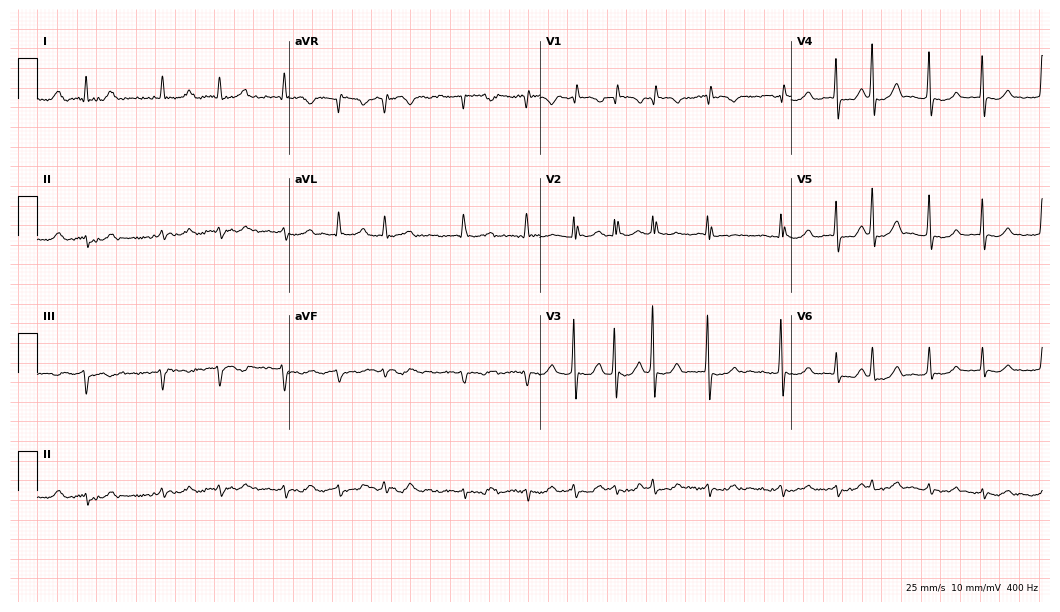
Electrocardiogram (10.2-second recording at 400 Hz), a 73-year-old woman. Of the six screened findings (first-degree AV block, right bundle branch block, left bundle branch block, sinus bradycardia, atrial fibrillation, sinus tachycardia), none is recorded.